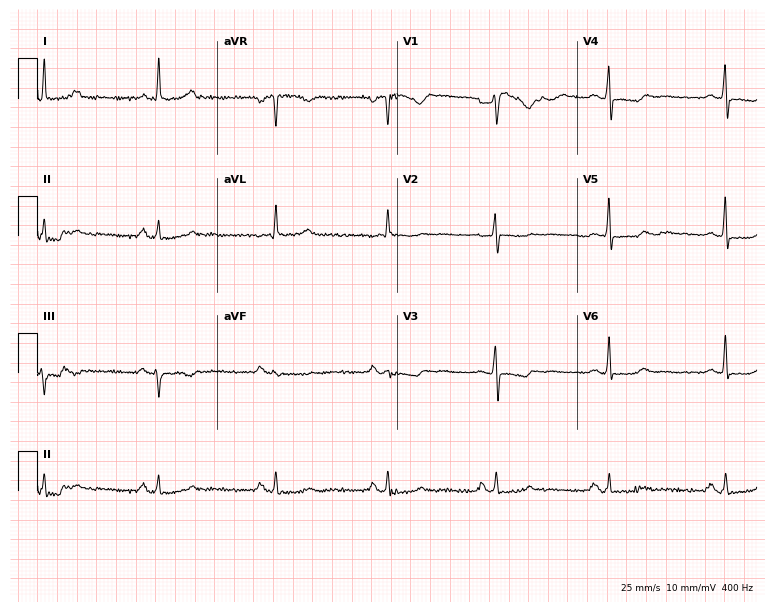
Resting 12-lead electrocardiogram. Patient: a 56-year-old woman. None of these six findings is recorded: first-degree AV block, right bundle branch block, left bundle branch block, sinus bradycardia, atrial fibrillation, sinus tachycardia.